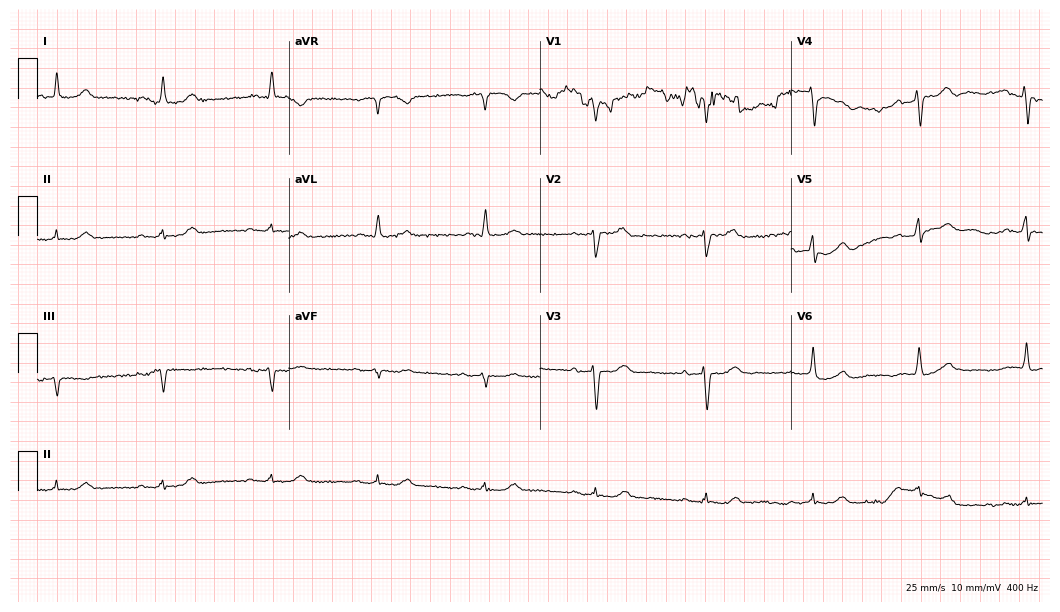
Electrocardiogram (10.2-second recording at 400 Hz), a man, 80 years old. Overall reading on record: normal ECG.